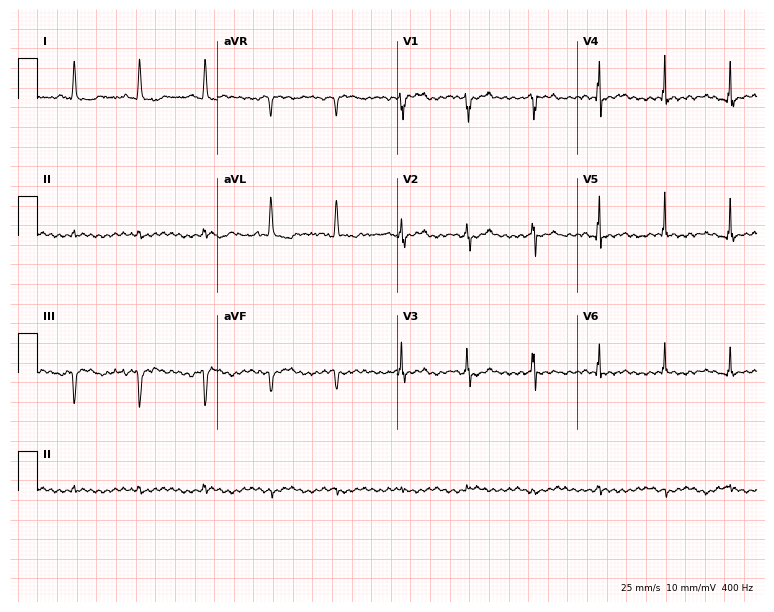
ECG (7.3-second recording at 400 Hz) — a male patient, 78 years old. Screened for six findings — first-degree AV block, right bundle branch block, left bundle branch block, sinus bradycardia, atrial fibrillation, sinus tachycardia — none is recorded. Other findings, if any, are not listed.